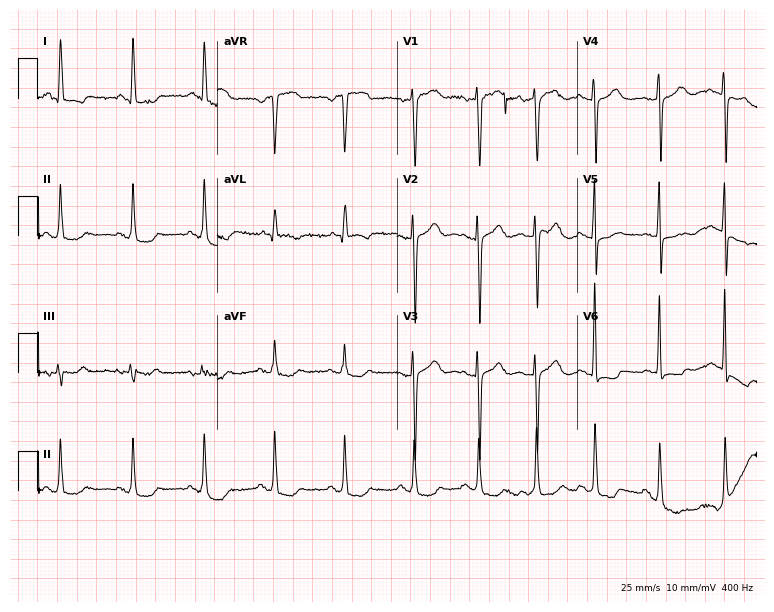
Standard 12-lead ECG recorded from a female patient, 80 years old (7.3-second recording at 400 Hz). None of these six findings is recorded: first-degree AV block, right bundle branch block (RBBB), left bundle branch block (LBBB), sinus bradycardia, atrial fibrillation (AF), sinus tachycardia. Findings outside these six are not listed.